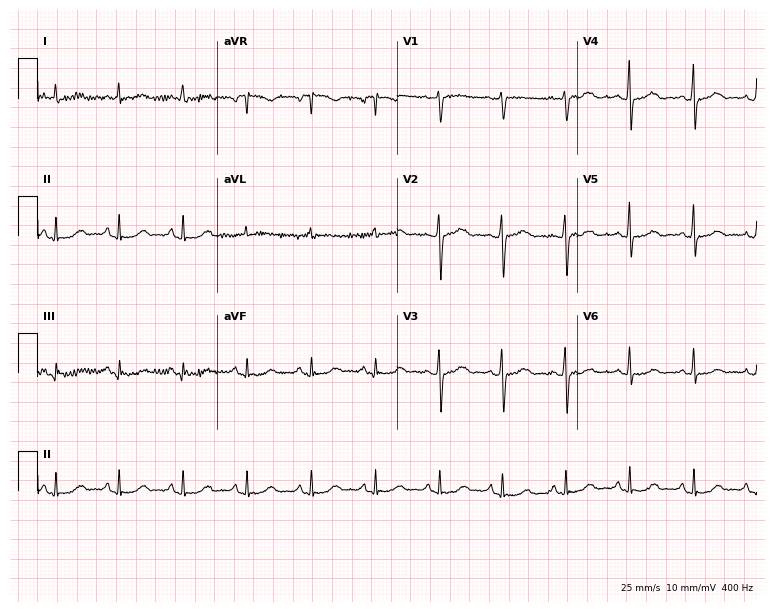
12-lead ECG (7.3-second recording at 400 Hz) from a 60-year-old female patient. Labelled as a normal ECG.